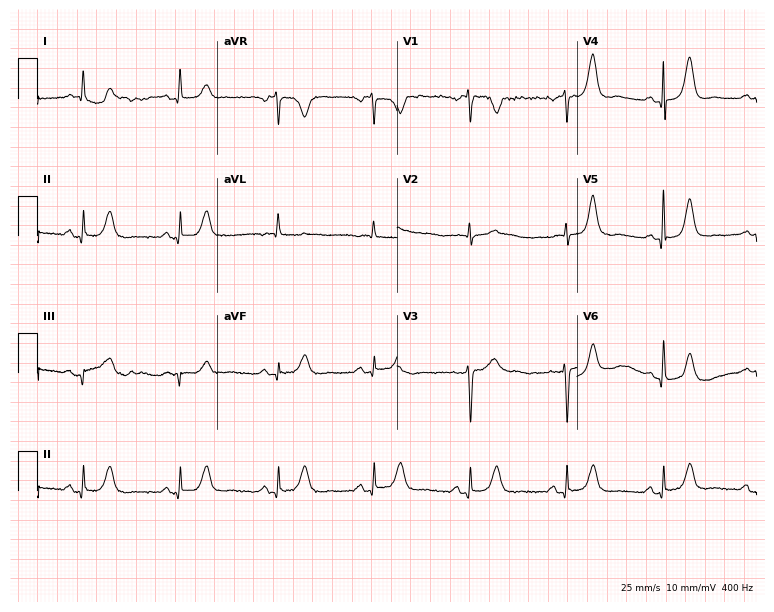
Standard 12-lead ECG recorded from a 72-year-old female (7.3-second recording at 400 Hz). Read as a normal ECG.